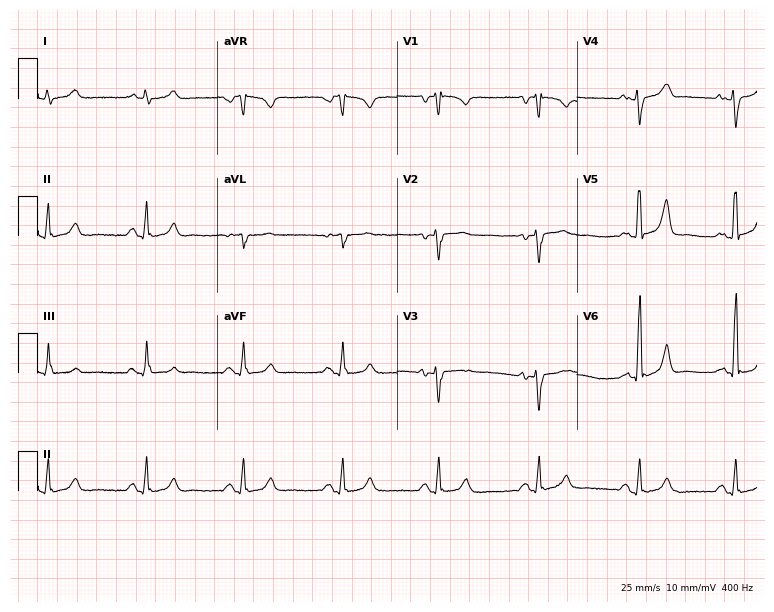
12-lead ECG from a woman, 43 years old. No first-degree AV block, right bundle branch block (RBBB), left bundle branch block (LBBB), sinus bradycardia, atrial fibrillation (AF) or sinus tachycardia recorded for this tracing. Findings outside these six are not listed.